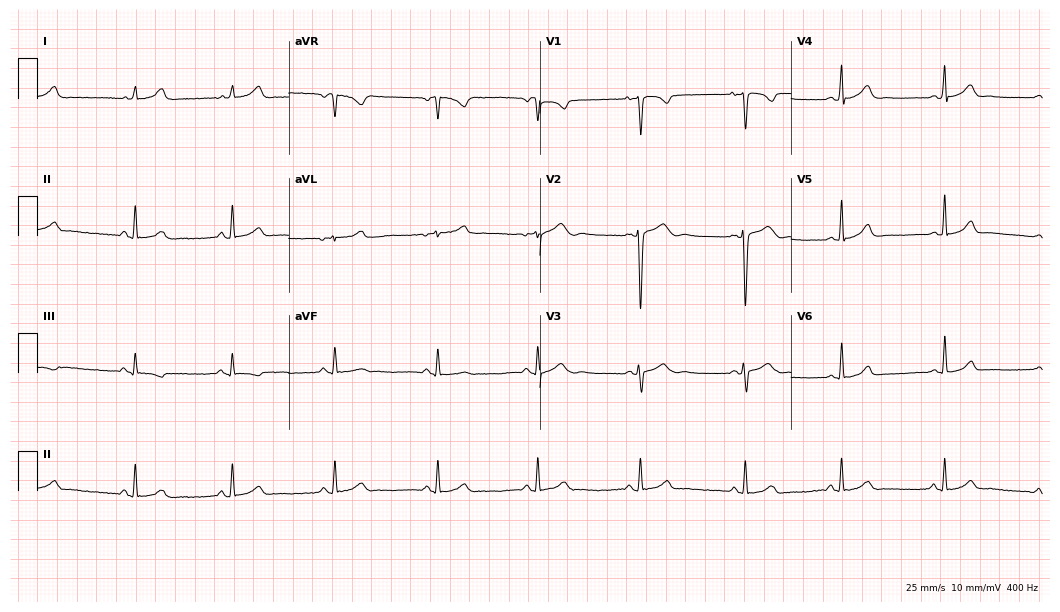
12-lead ECG from a 20-year-old female patient (10.2-second recording at 400 Hz). No first-degree AV block, right bundle branch block (RBBB), left bundle branch block (LBBB), sinus bradycardia, atrial fibrillation (AF) or sinus tachycardia recorded for this tracing. Other findings, if any, are not listed.